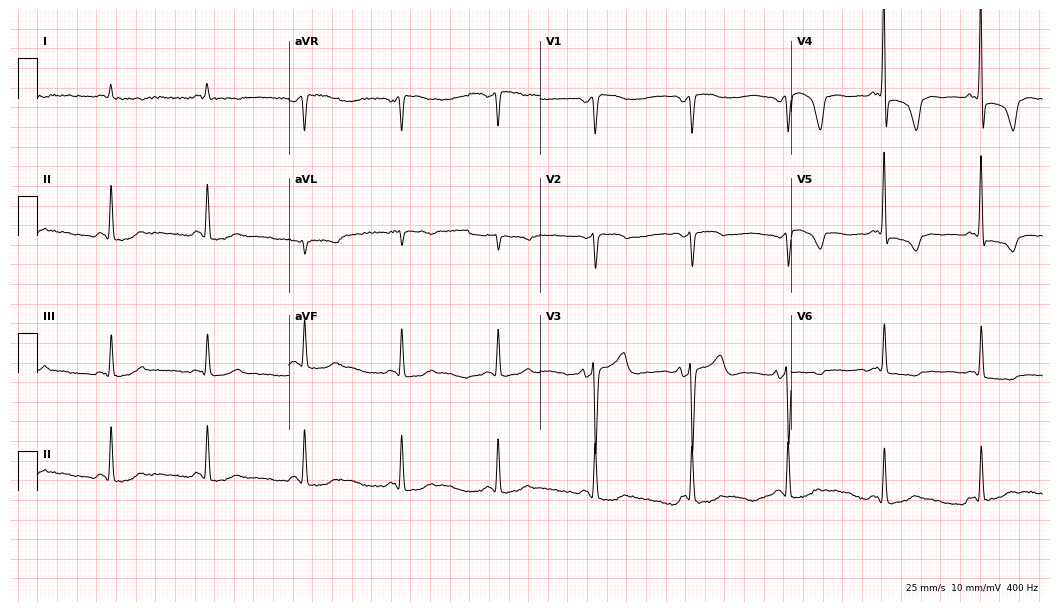
Standard 12-lead ECG recorded from a female patient, 85 years old (10.2-second recording at 400 Hz). Read as a normal ECG.